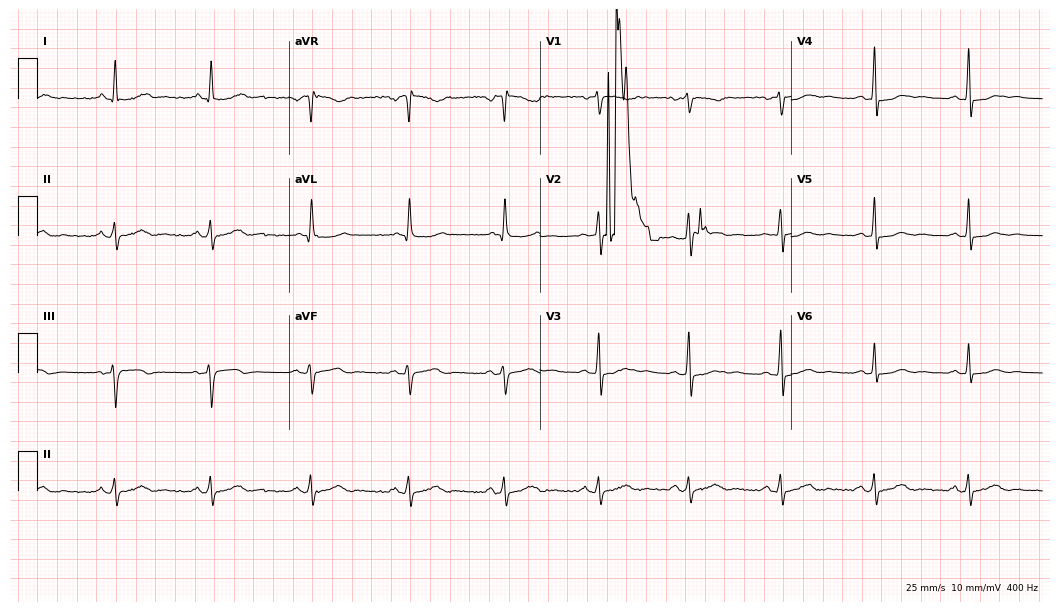
12-lead ECG from a 40-year-old female. No first-degree AV block, right bundle branch block, left bundle branch block, sinus bradycardia, atrial fibrillation or sinus tachycardia recorded for this tracing. Only these six findings were labelled.